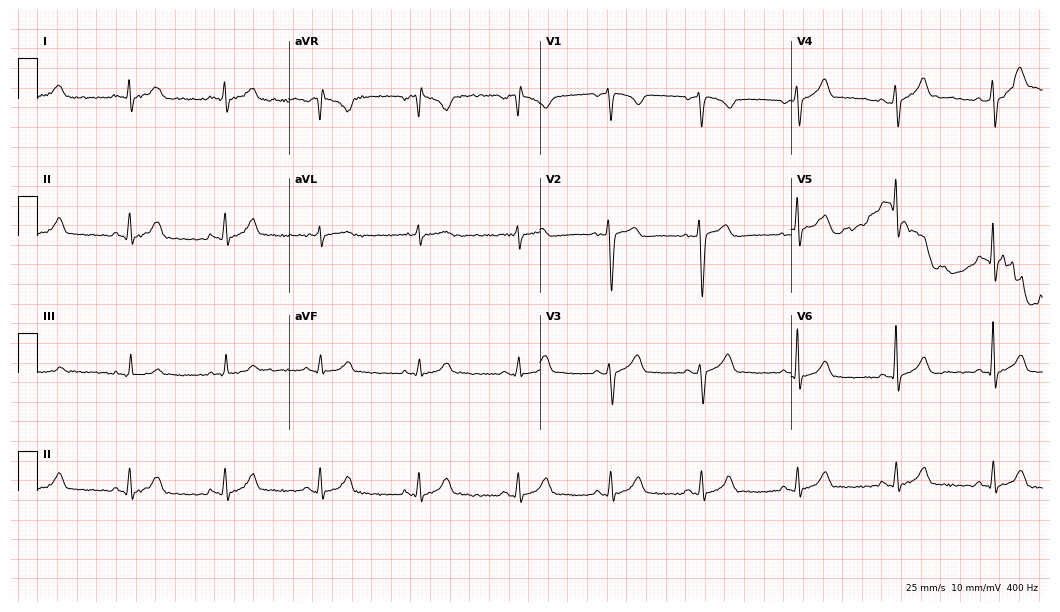
Standard 12-lead ECG recorded from a 29-year-old man. Read as a normal ECG.